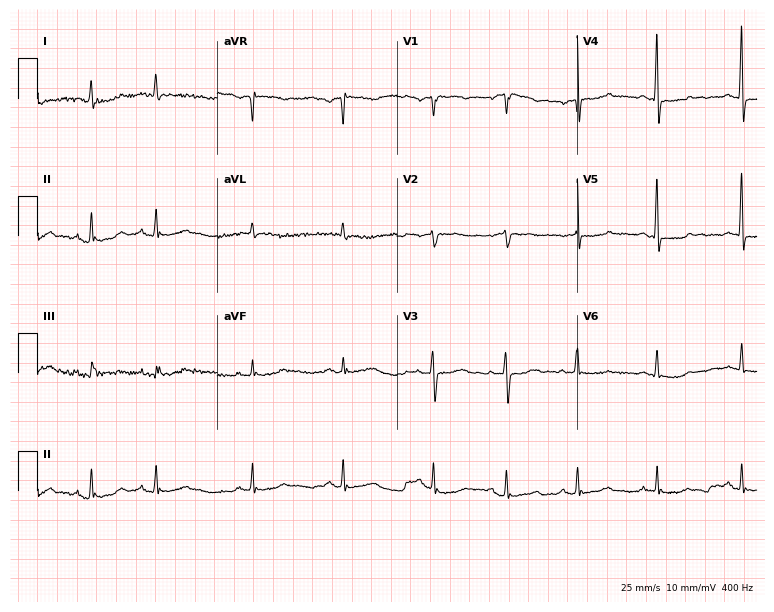
Resting 12-lead electrocardiogram (7.3-second recording at 400 Hz). Patient: a 78-year-old male. None of these six findings is recorded: first-degree AV block, right bundle branch block, left bundle branch block, sinus bradycardia, atrial fibrillation, sinus tachycardia. Findings outside these six are not listed.